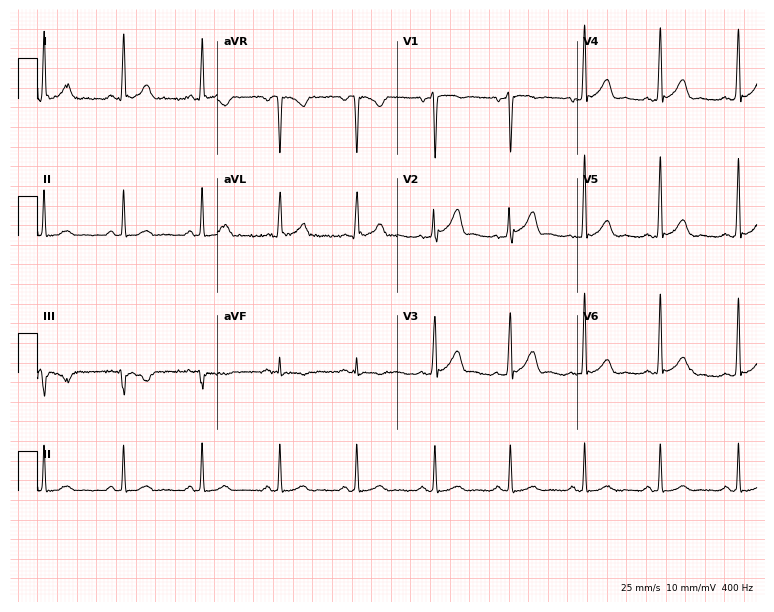
Electrocardiogram, a 47-year-old male. Of the six screened findings (first-degree AV block, right bundle branch block (RBBB), left bundle branch block (LBBB), sinus bradycardia, atrial fibrillation (AF), sinus tachycardia), none is recorded.